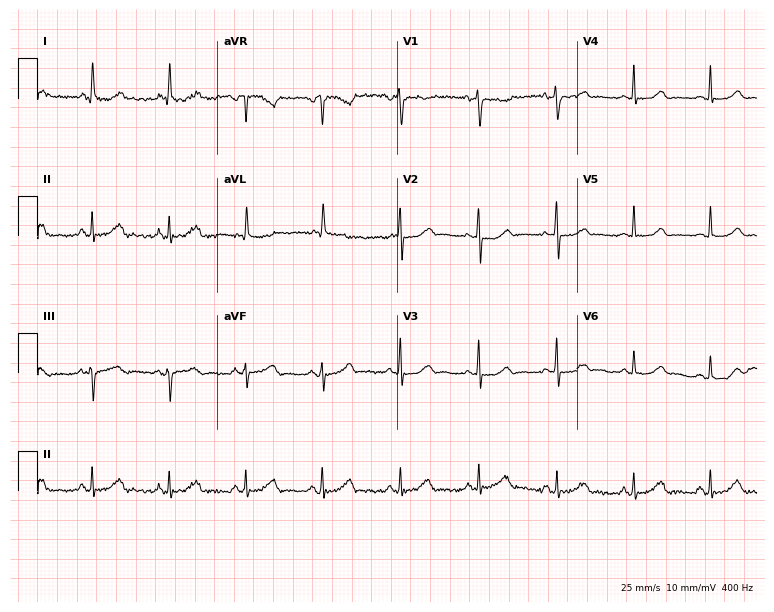
Electrocardiogram, a woman, 63 years old. Overall reading on record: normal ECG.